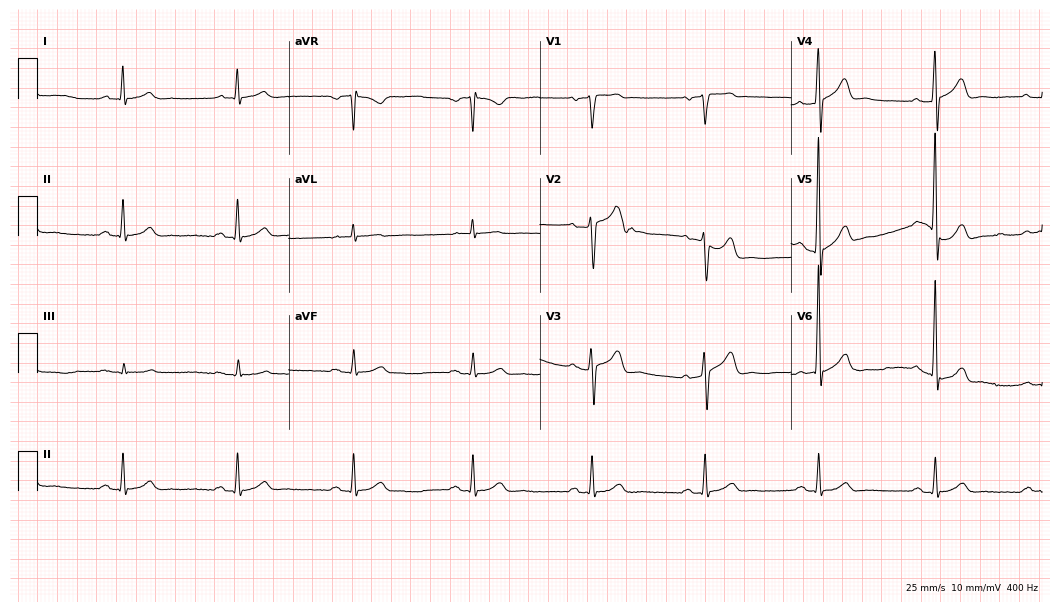
Standard 12-lead ECG recorded from a 64-year-old man (10.2-second recording at 400 Hz). Read as a normal ECG.